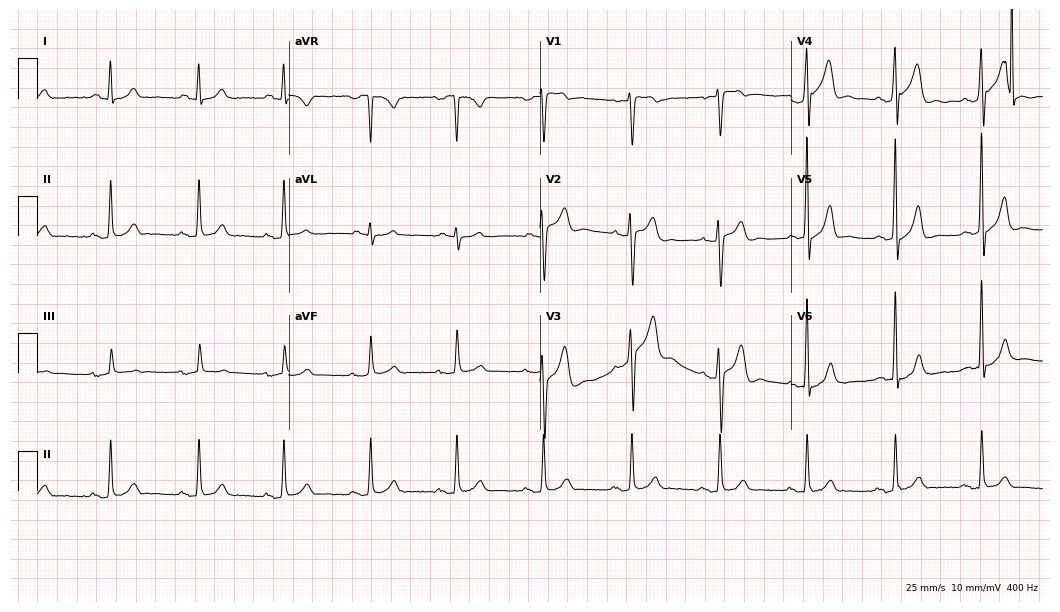
Electrocardiogram (10.2-second recording at 400 Hz), a 38-year-old man. Overall reading on record: normal ECG.